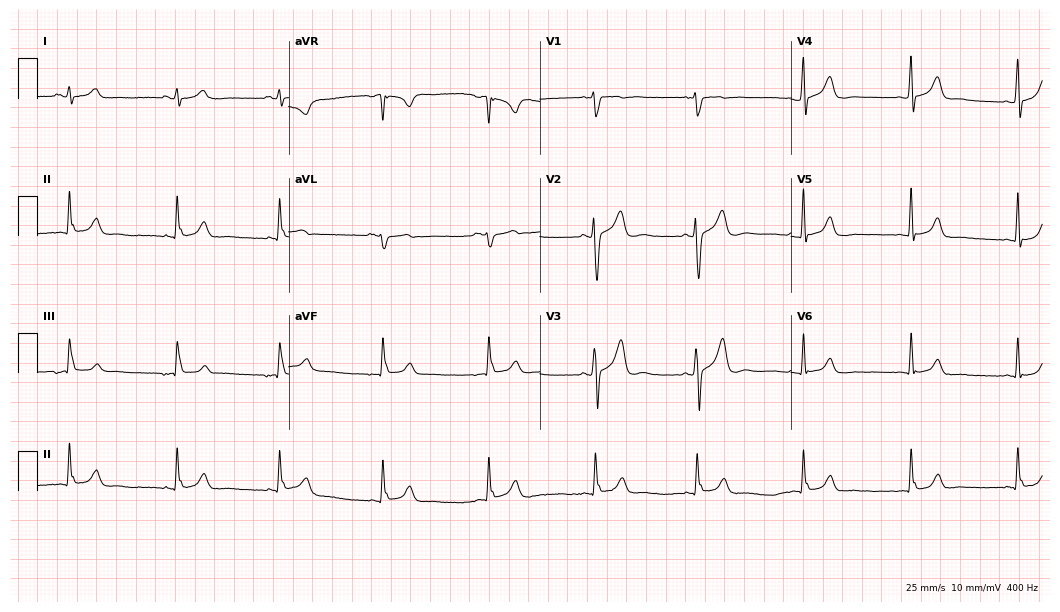
Resting 12-lead electrocardiogram (10.2-second recording at 400 Hz). Patient: a 37-year-old male. Read as a normal ECG.